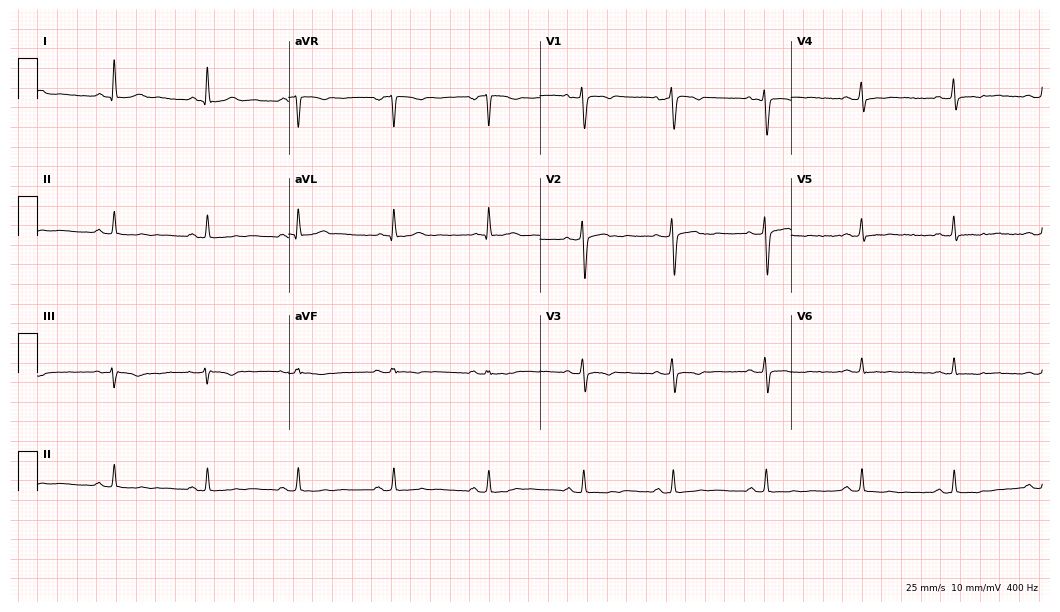
12-lead ECG from a 35-year-old woman. No first-degree AV block, right bundle branch block (RBBB), left bundle branch block (LBBB), sinus bradycardia, atrial fibrillation (AF) or sinus tachycardia recorded for this tracing. Only these six findings were labelled.